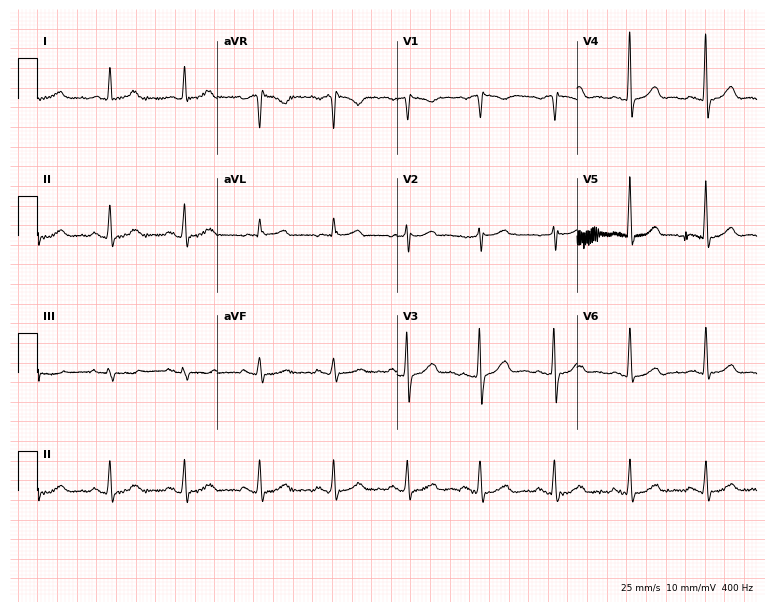
Electrocardiogram, a woman, 58 years old. Overall reading on record: normal ECG.